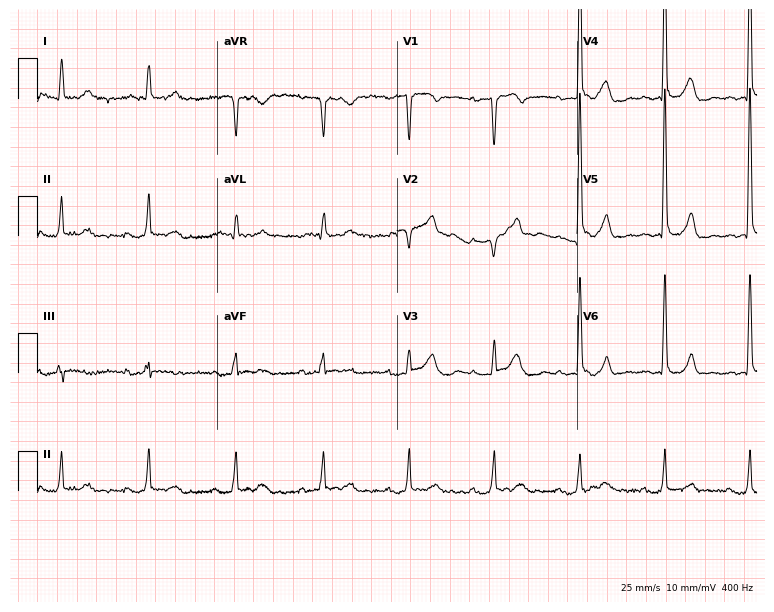
ECG — a 78-year-old woman. Screened for six findings — first-degree AV block, right bundle branch block, left bundle branch block, sinus bradycardia, atrial fibrillation, sinus tachycardia — none is recorded. Only these six findings were labelled.